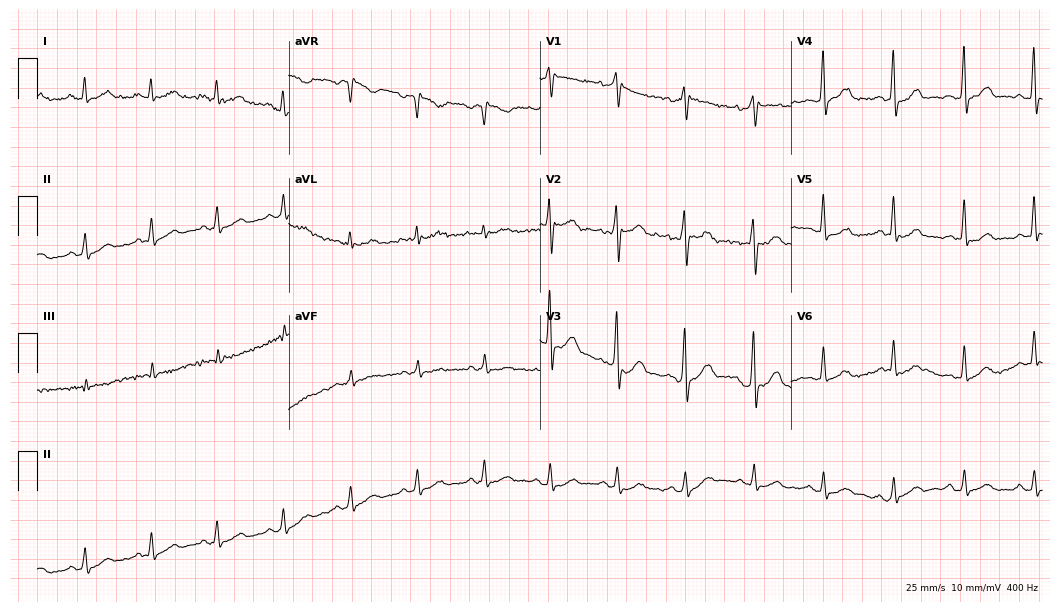
Resting 12-lead electrocardiogram (10.2-second recording at 400 Hz). Patient: a 55-year-old male. Read as a normal ECG.